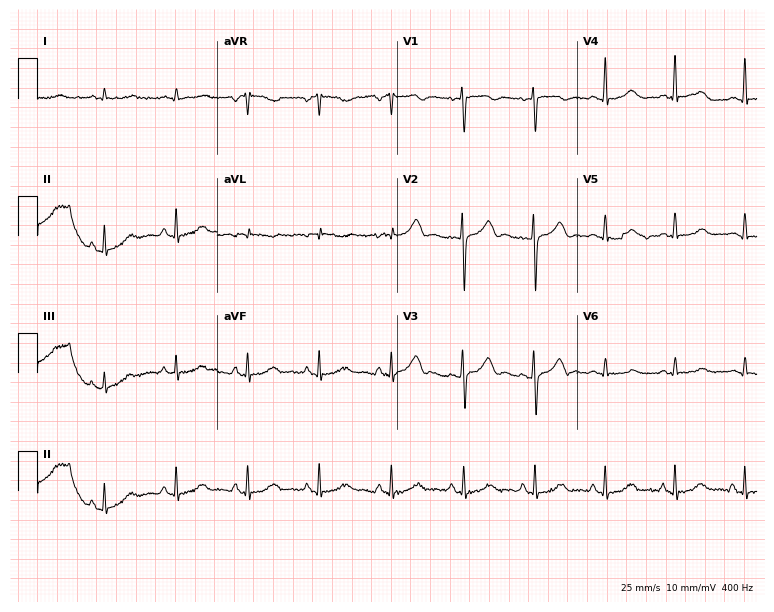
Resting 12-lead electrocardiogram (7.3-second recording at 400 Hz). Patient: a 44-year-old female. Read as a normal ECG.